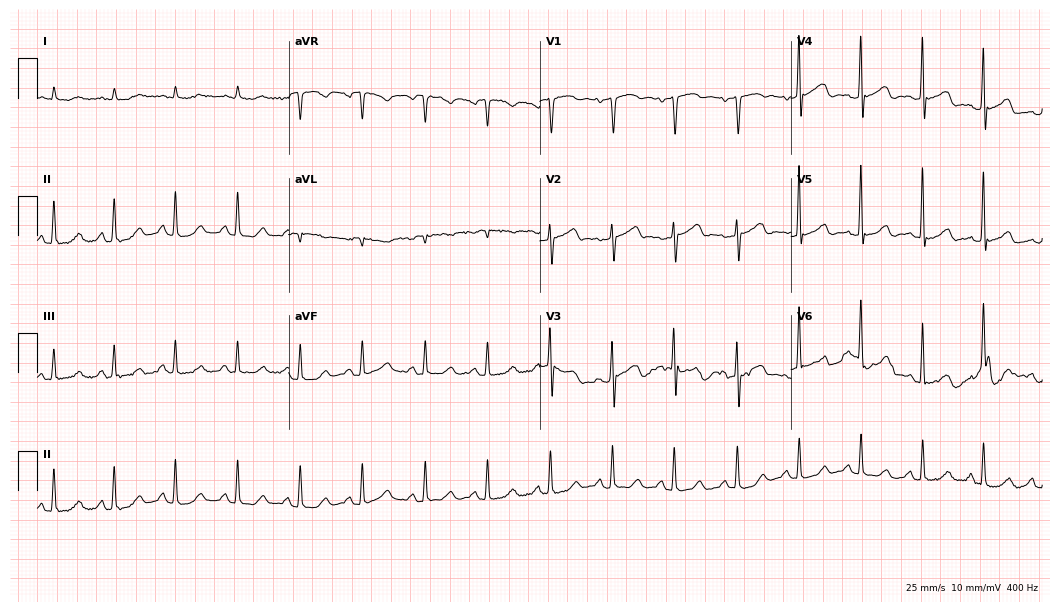
12-lead ECG from a 70-year-old man (10.2-second recording at 400 Hz). Recorded interpretation: within normal limits.